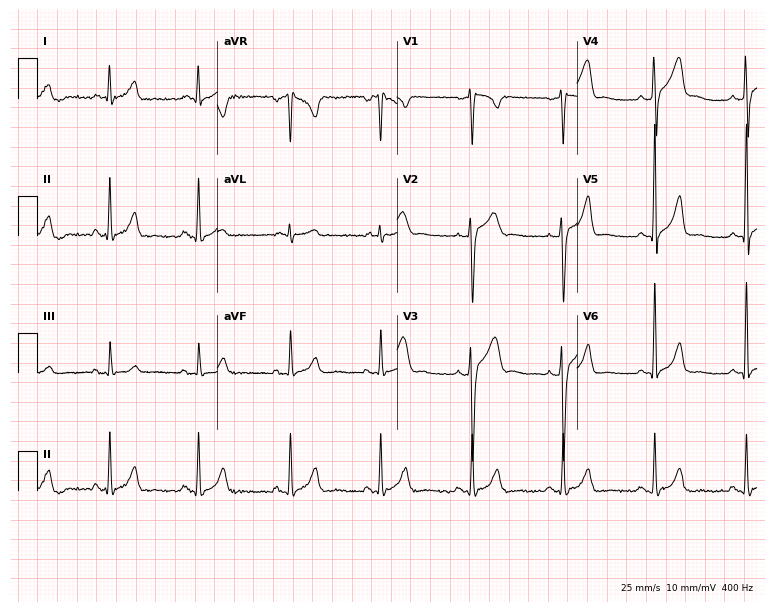
Standard 12-lead ECG recorded from a 57-year-old male (7.3-second recording at 400 Hz). Read as a normal ECG.